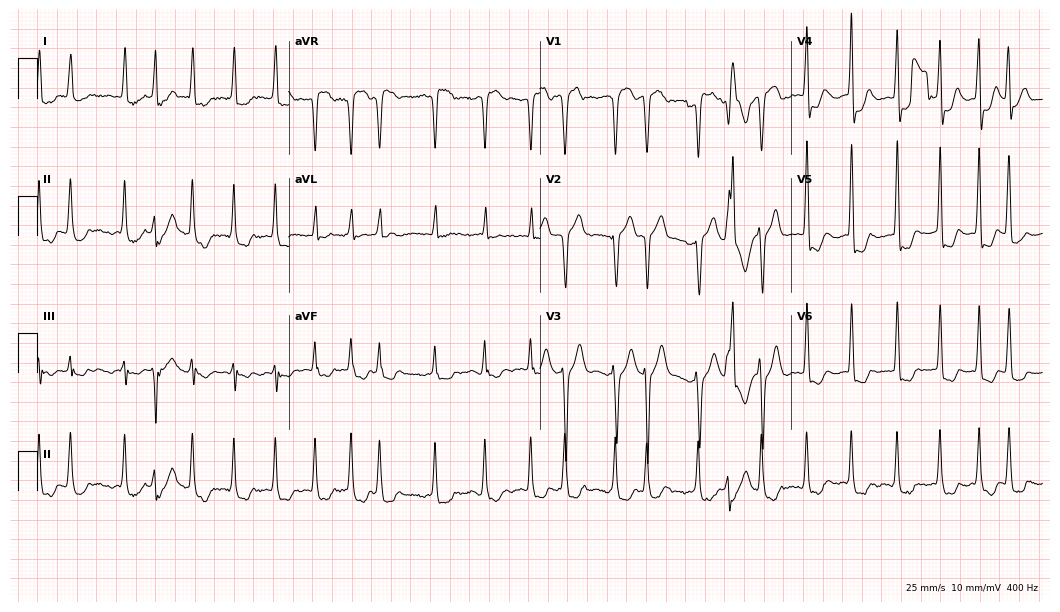
12-lead ECG from a 52-year-old male. Shows atrial fibrillation.